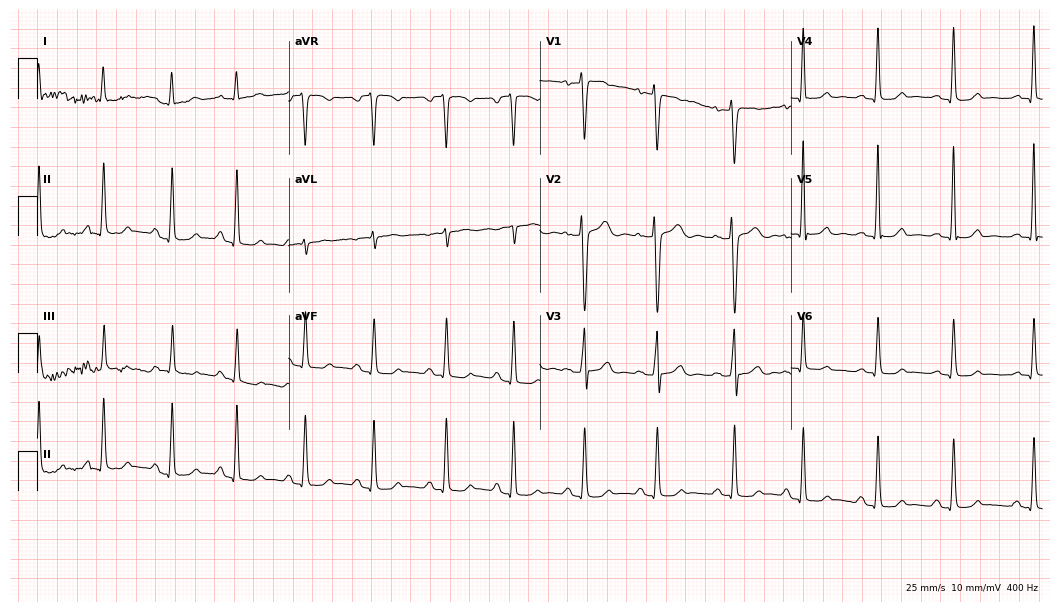
Standard 12-lead ECG recorded from a female, 49 years old. None of these six findings is recorded: first-degree AV block, right bundle branch block (RBBB), left bundle branch block (LBBB), sinus bradycardia, atrial fibrillation (AF), sinus tachycardia. Only these six findings were labelled.